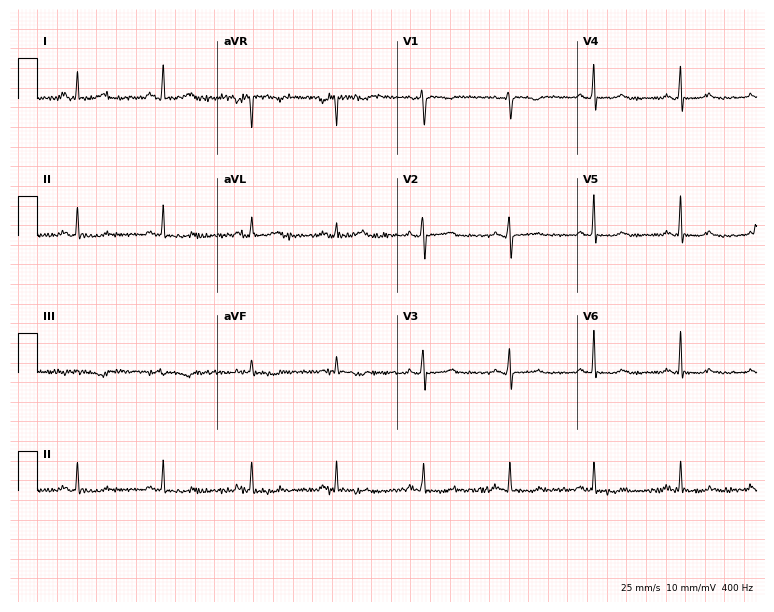
12-lead ECG from a woman, 42 years old (7.3-second recording at 400 Hz). Recorded interpretation: within normal limits.